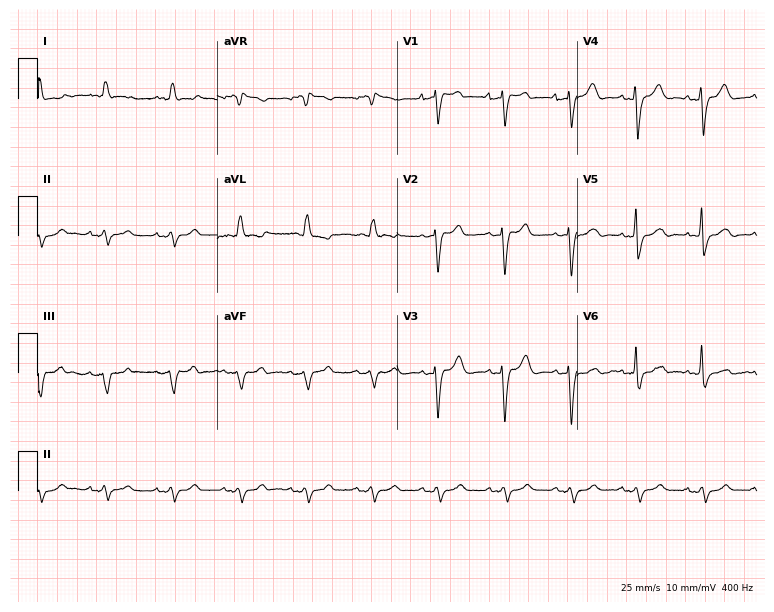
Electrocardiogram (7.3-second recording at 400 Hz), an 85-year-old female. Of the six screened findings (first-degree AV block, right bundle branch block, left bundle branch block, sinus bradycardia, atrial fibrillation, sinus tachycardia), none is recorded. Findings outside these six are not listed.